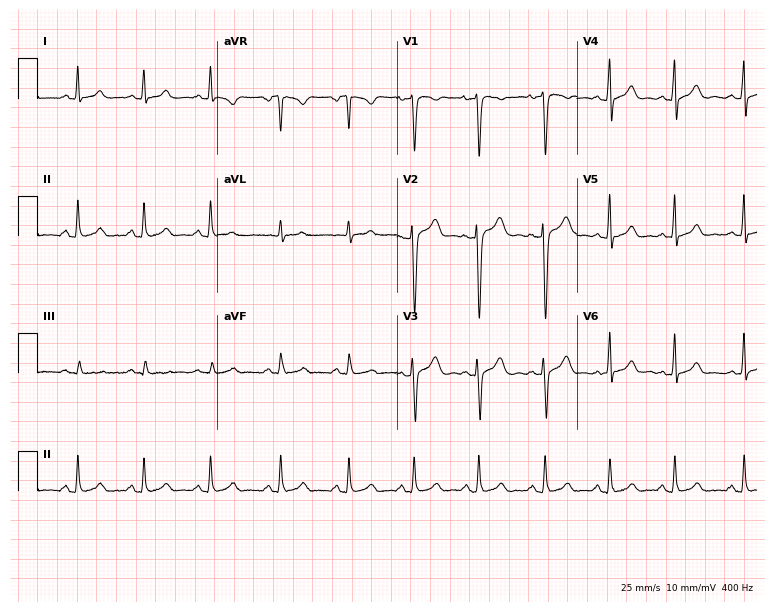
12-lead ECG from a male, 28 years old (7.3-second recording at 400 Hz). Recorded interpretation: within normal limits.